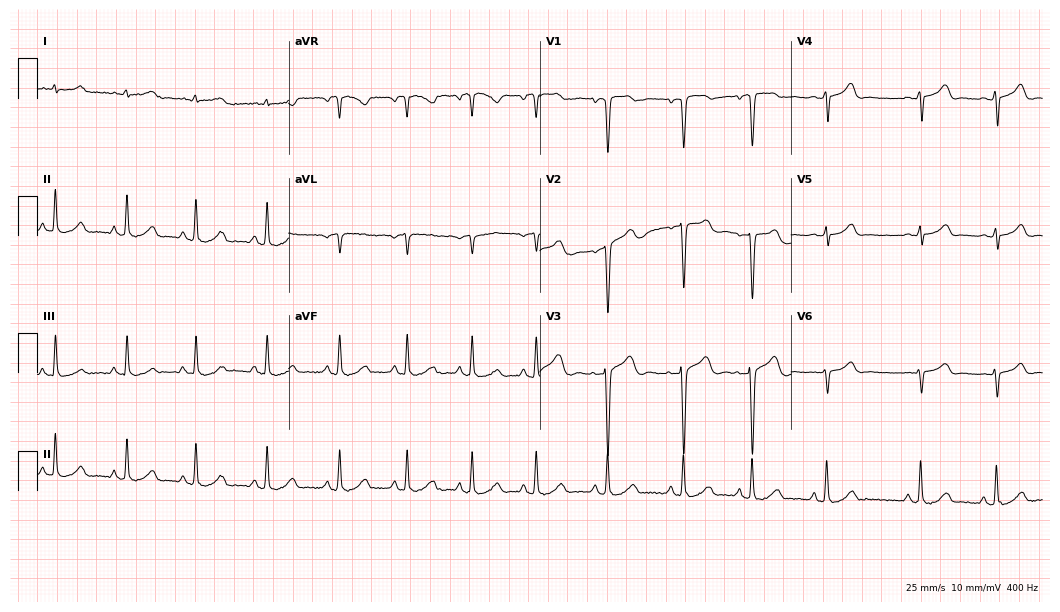
Standard 12-lead ECG recorded from a 17-year-old female patient. None of these six findings is recorded: first-degree AV block, right bundle branch block, left bundle branch block, sinus bradycardia, atrial fibrillation, sinus tachycardia. Other findings, if any, are not listed.